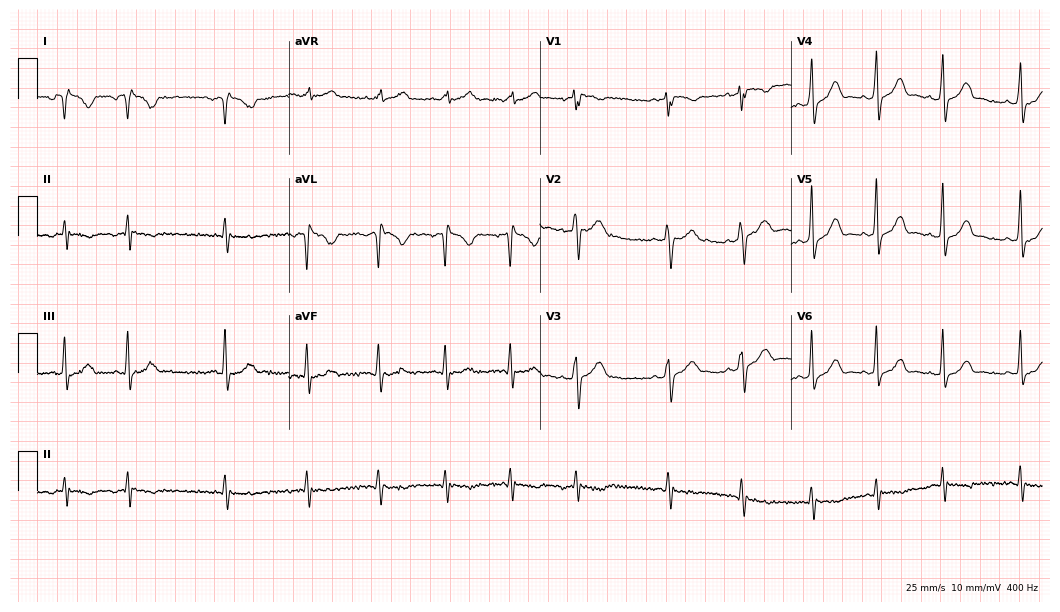
ECG (10.2-second recording at 400 Hz) — a female patient, 28 years old. Screened for six findings — first-degree AV block, right bundle branch block, left bundle branch block, sinus bradycardia, atrial fibrillation, sinus tachycardia — none is recorded.